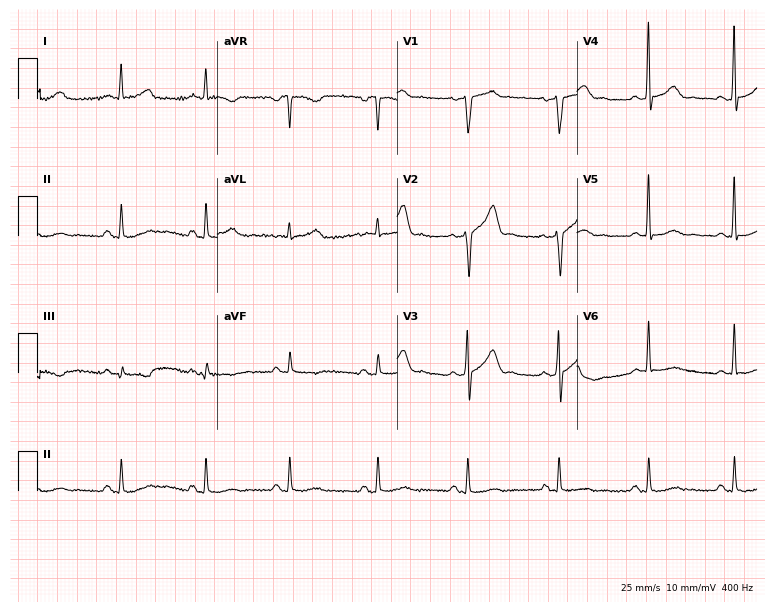
12-lead ECG from a male patient, 54 years old (7.3-second recording at 400 Hz). No first-degree AV block, right bundle branch block, left bundle branch block, sinus bradycardia, atrial fibrillation or sinus tachycardia recorded for this tracing.